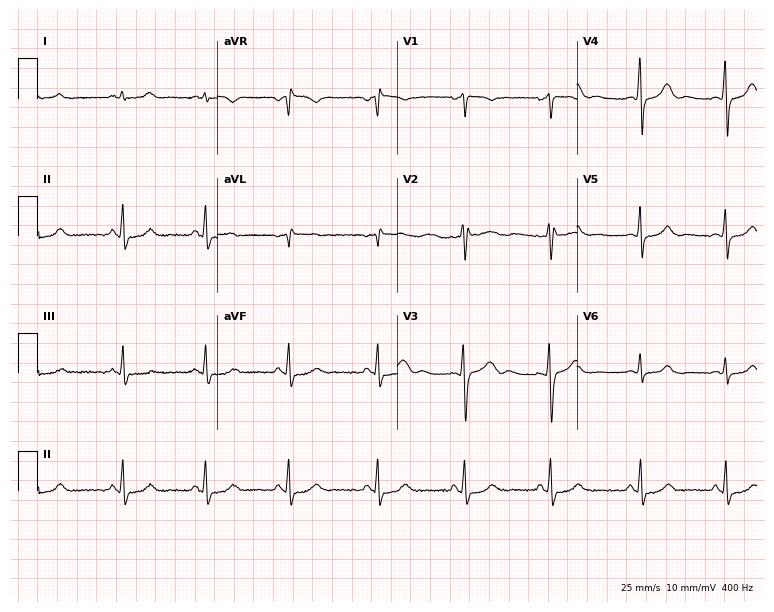
ECG — a female patient, 27 years old. Labelled as a normal ECG.